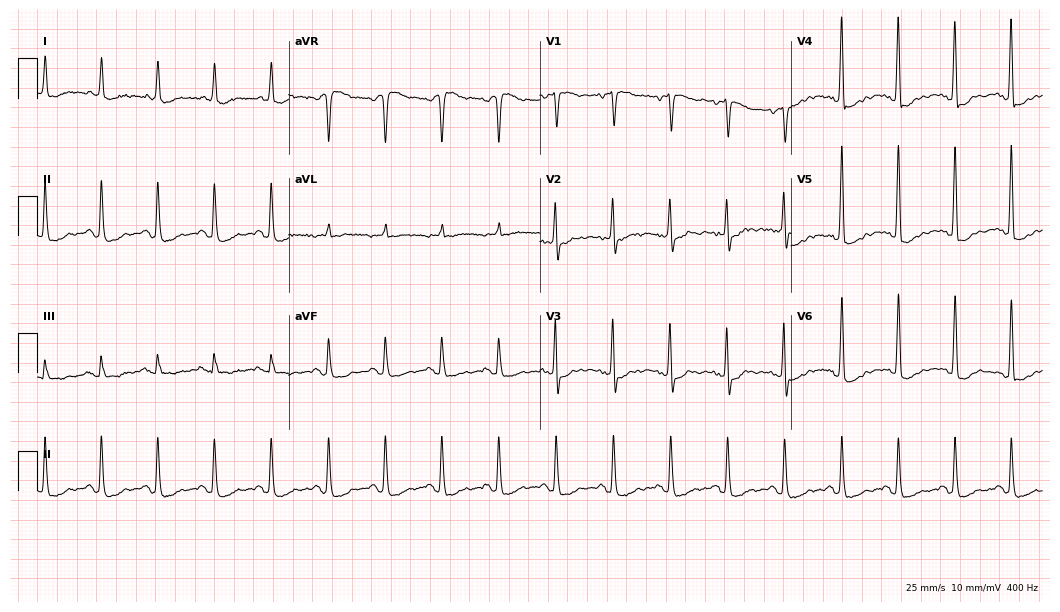
Resting 12-lead electrocardiogram (10.2-second recording at 400 Hz). Patient: a 77-year-old female. None of these six findings is recorded: first-degree AV block, right bundle branch block (RBBB), left bundle branch block (LBBB), sinus bradycardia, atrial fibrillation (AF), sinus tachycardia.